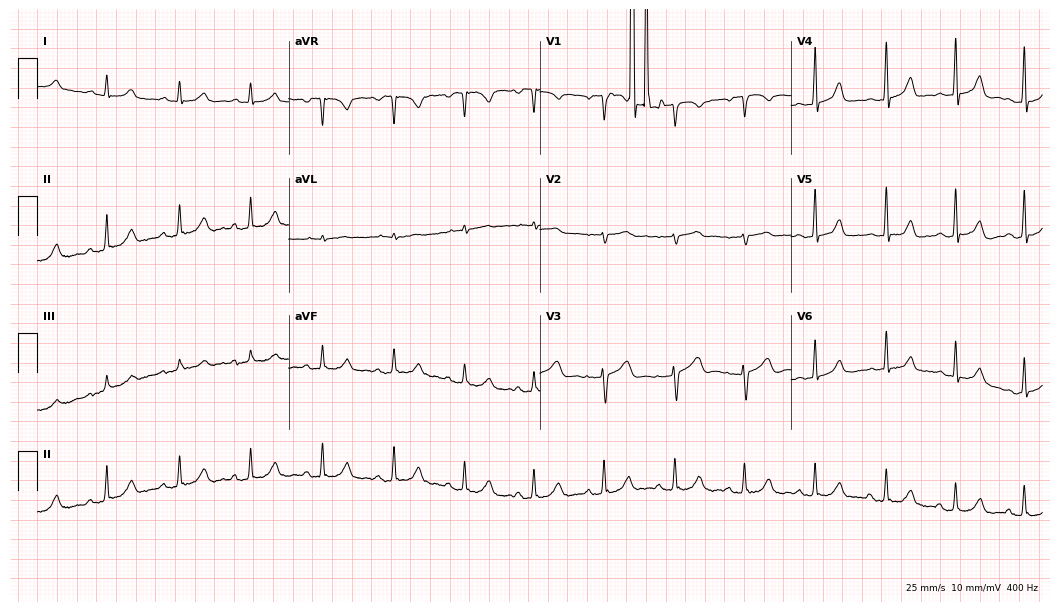
12-lead ECG (10.2-second recording at 400 Hz) from a woman, 51 years old. Labelled as a normal ECG.